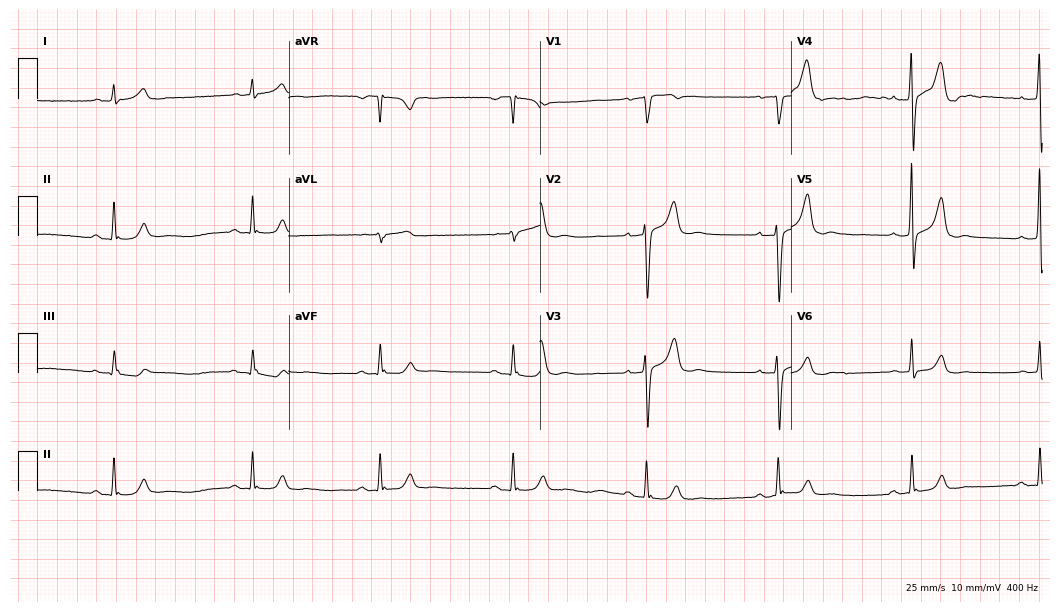
Standard 12-lead ECG recorded from a 71-year-old male patient. The tracing shows sinus bradycardia (a sinus rate of 50 beats per minute or less).